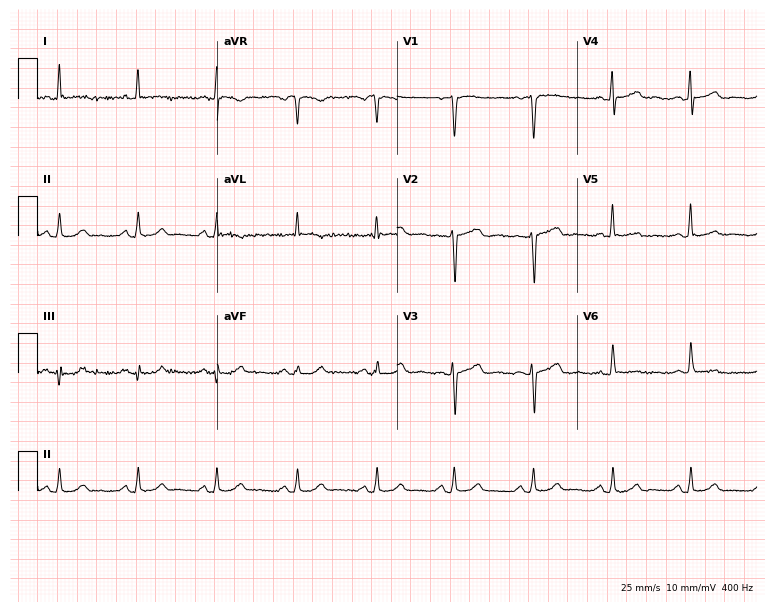
Electrocardiogram, a female, 58 years old. Of the six screened findings (first-degree AV block, right bundle branch block, left bundle branch block, sinus bradycardia, atrial fibrillation, sinus tachycardia), none is recorded. Only these six findings were labelled.